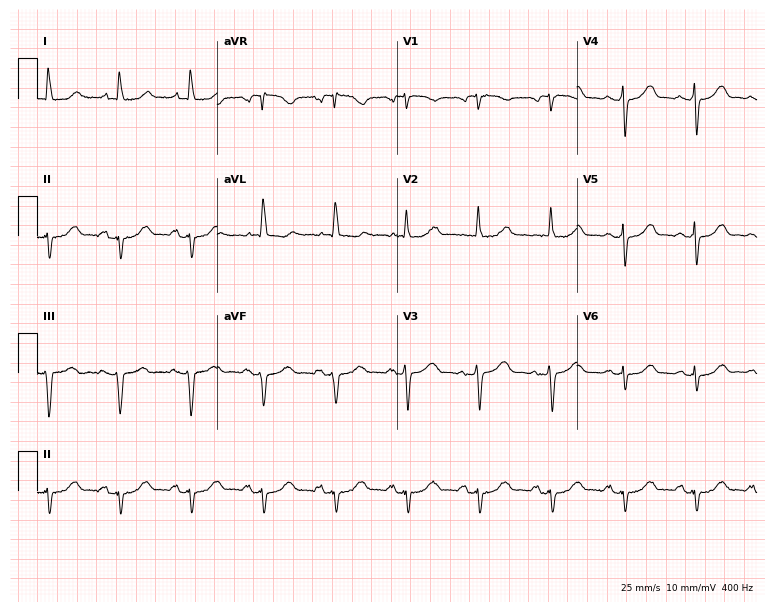
Resting 12-lead electrocardiogram (7.3-second recording at 400 Hz). Patient: a 78-year-old female. None of these six findings is recorded: first-degree AV block, right bundle branch block, left bundle branch block, sinus bradycardia, atrial fibrillation, sinus tachycardia.